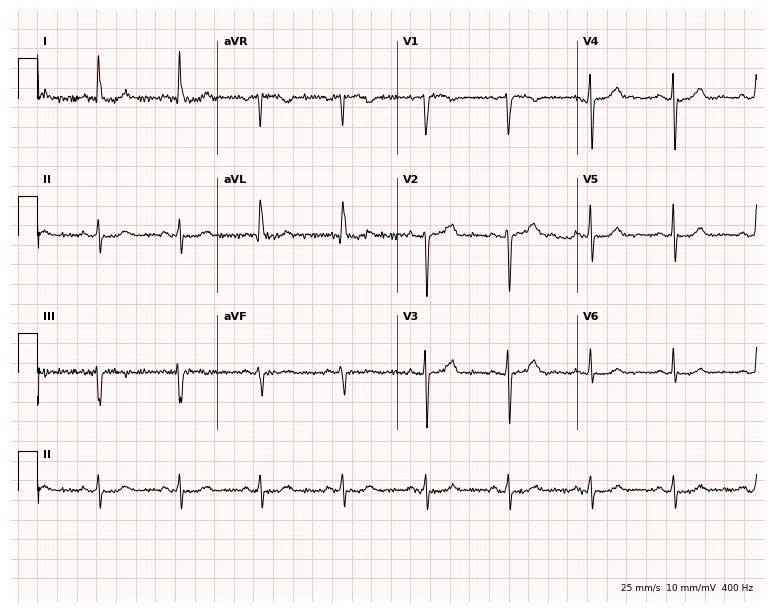
Electrocardiogram (7.3-second recording at 400 Hz), a female, 69 years old. Overall reading on record: normal ECG.